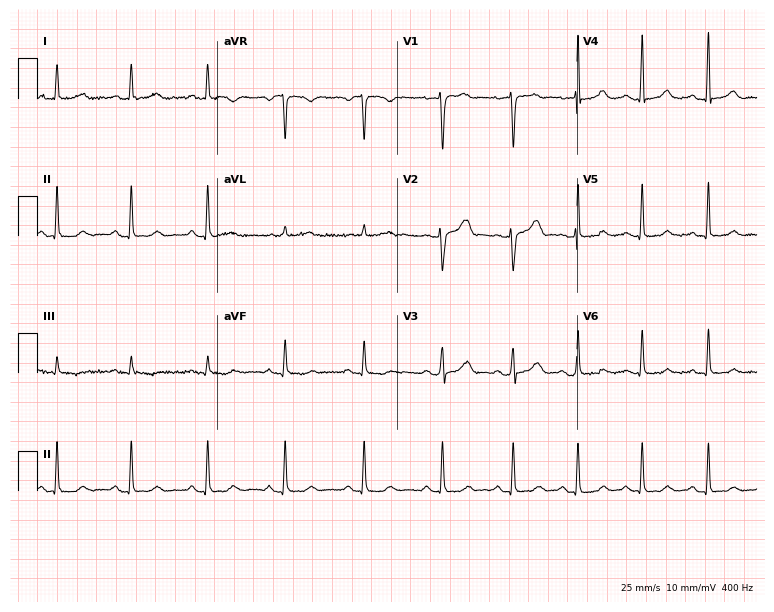
Resting 12-lead electrocardiogram. Patient: a 42-year-old female. Read as a normal ECG.